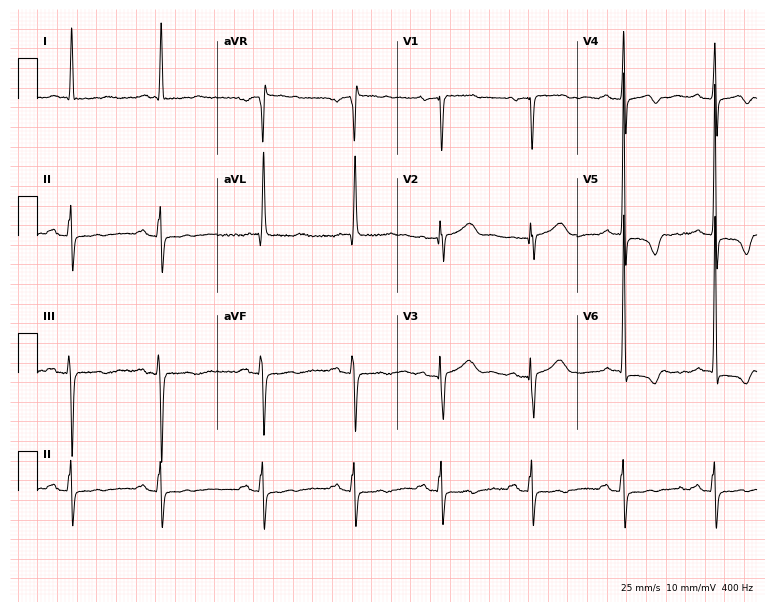
ECG (7.3-second recording at 400 Hz) — a woman, 82 years old. Screened for six findings — first-degree AV block, right bundle branch block, left bundle branch block, sinus bradycardia, atrial fibrillation, sinus tachycardia — none is recorded. Other findings, if any, are not listed.